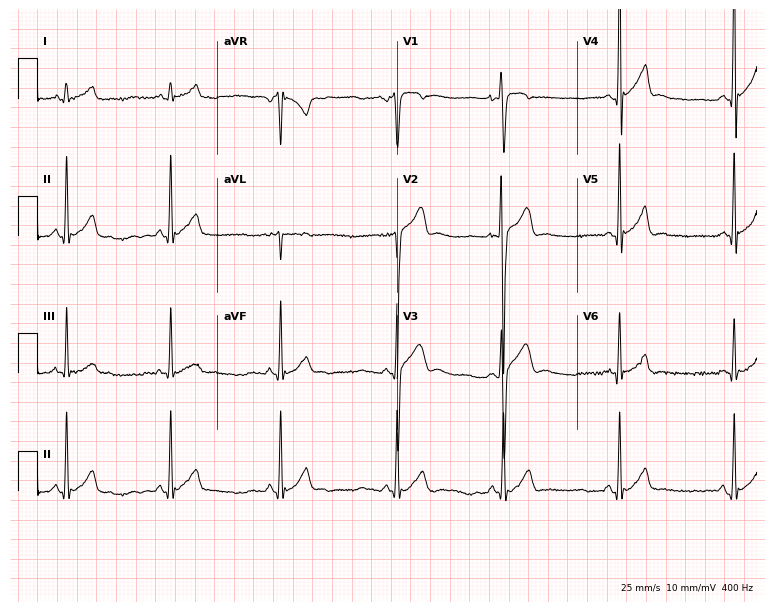
Standard 12-lead ECG recorded from a 17-year-old man. None of these six findings is recorded: first-degree AV block, right bundle branch block, left bundle branch block, sinus bradycardia, atrial fibrillation, sinus tachycardia.